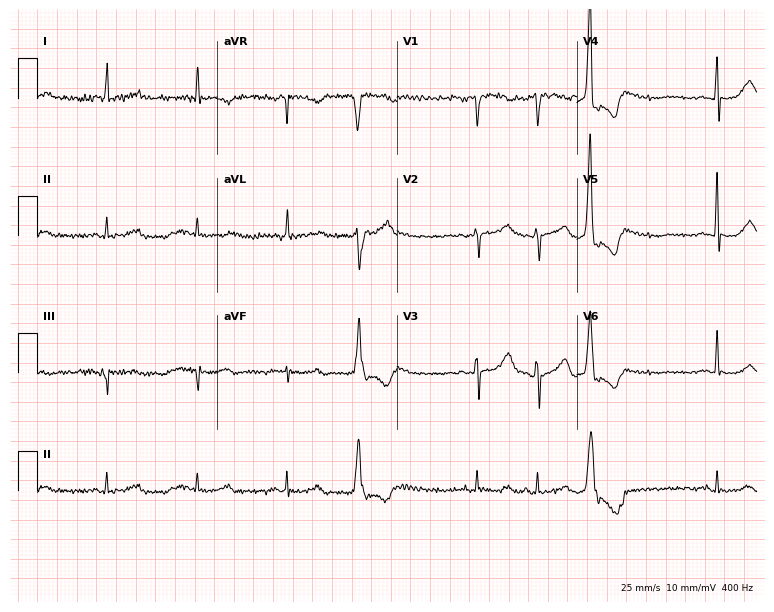
Standard 12-lead ECG recorded from a male patient, 70 years old (7.3-second recording at 400 Hz). None of these six findings is recorded: first-degree AV block, right bundle branch block, left bundle branch block, sinus bradycardia, atrial fibrillation, sinus tachycardia.